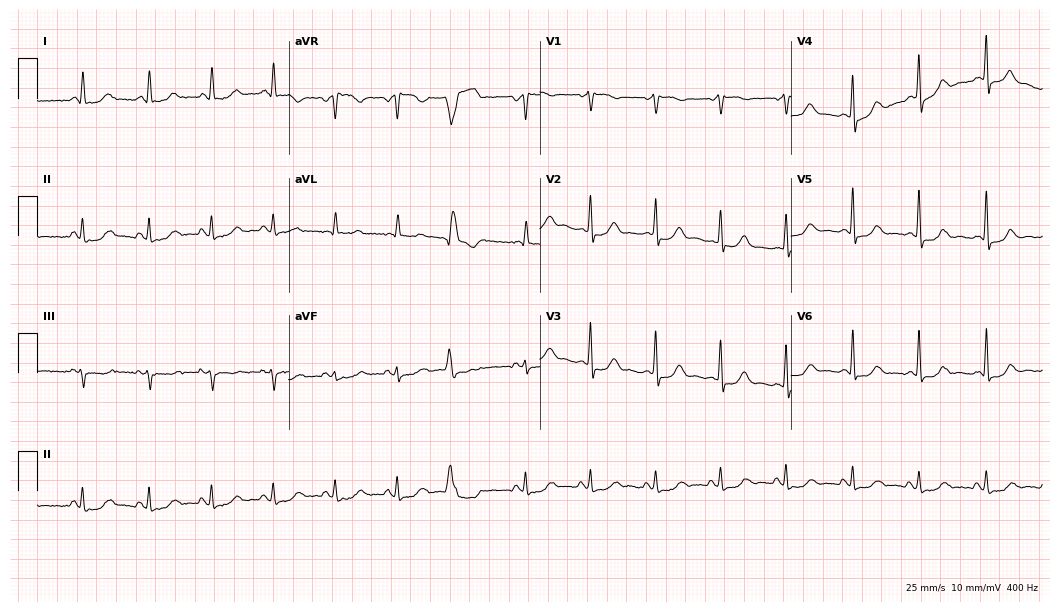
Standard 12-lead ECG recorded from a woman, 68 years old. None of these six findings is recorded: first-degree AV block, right bundle branch block, left bundle branch block, sinus bradycardia, atrial fibrillation, sinus tachycardia.